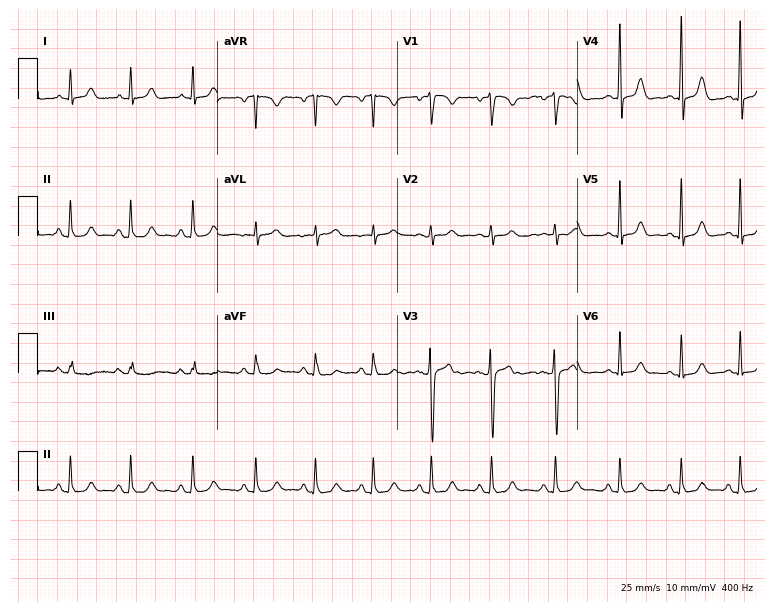
Resting 12-lead electrocardiogram (7.3-second recording at 400 Hz). Patient: a 23-year-old female. Read as a normal ECG.